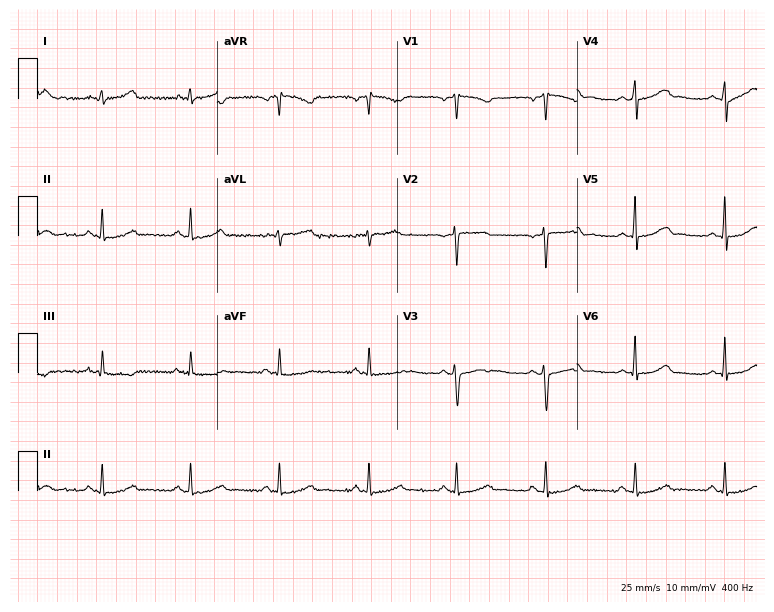
ECG — a 46-year-old female patient. Labelled as a normal ECG.